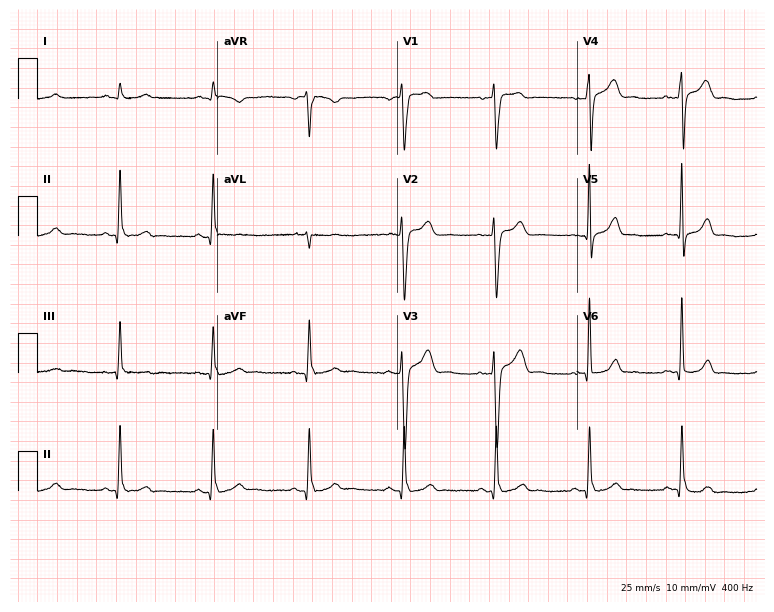
12-lead ECG from a man, 38 years old. Recorded interpretation: within normal limits.